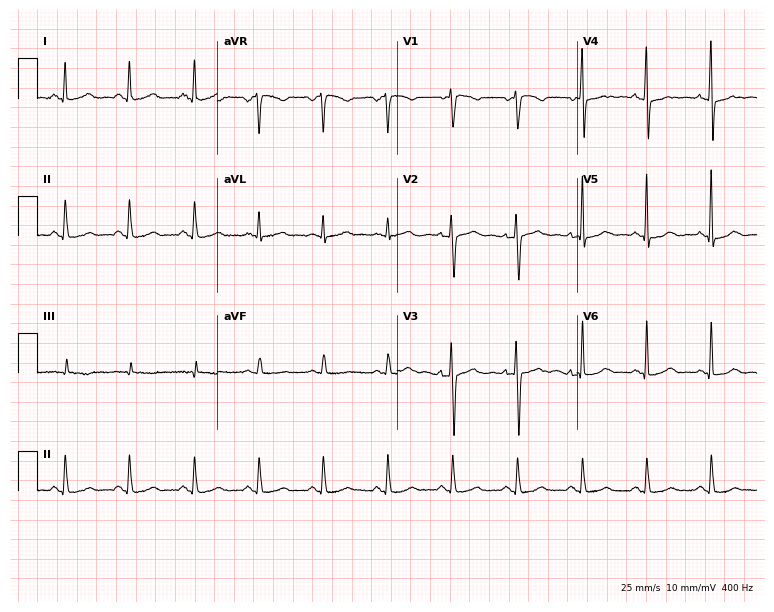
12-lead ECG from a 50-year-old female patient (7.3-second recording at 400 Hz). Recorded interpretation: within normal limits.